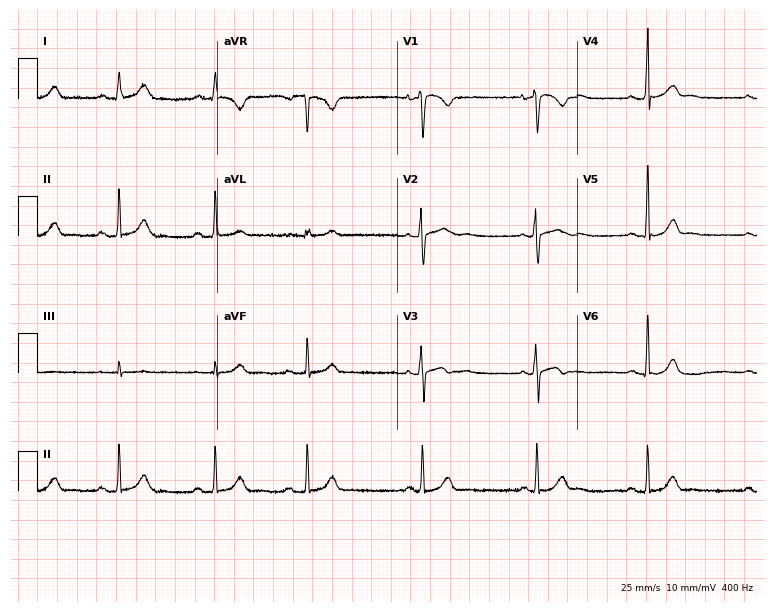
Standard 12-lead ECG recorded from a woman, 21 years old (7.3-second recording at 400 Hz). None of these six findings is recorded: first-degree AV block, right bundle branch block (RBBB), left bundle branch block (LBBB), sinus bradycardia, atrial fibrillation (AF), sinus tachycardia. Findings outside these six are not listed.